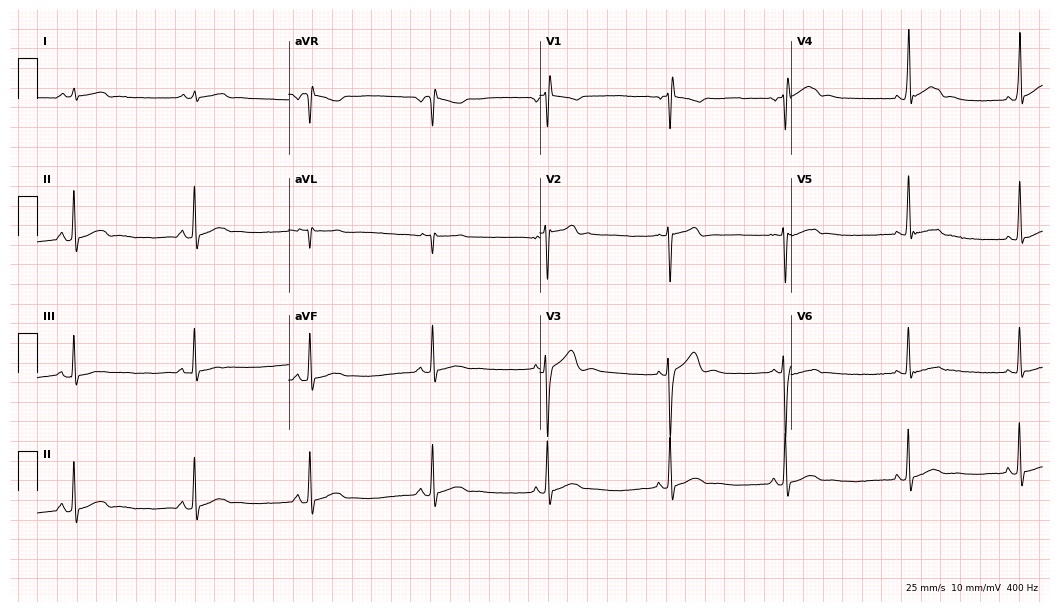
ECG — a male patient, 17 years old. Screened for six findings — first-degree AV block, right bundle branch block, left bundle branch block, sinus bradycardia, atrial fibrillation, sinus tachycardia — none is recorded.